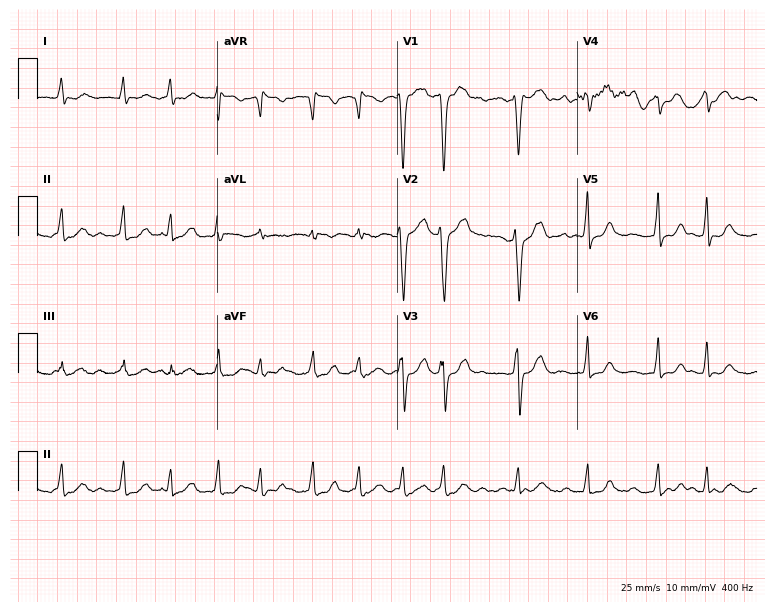
Electrocardiogram (7.3-second recording at 400 Hz), a 58-year-old woman. Interpretation includes atrial fibrillation.